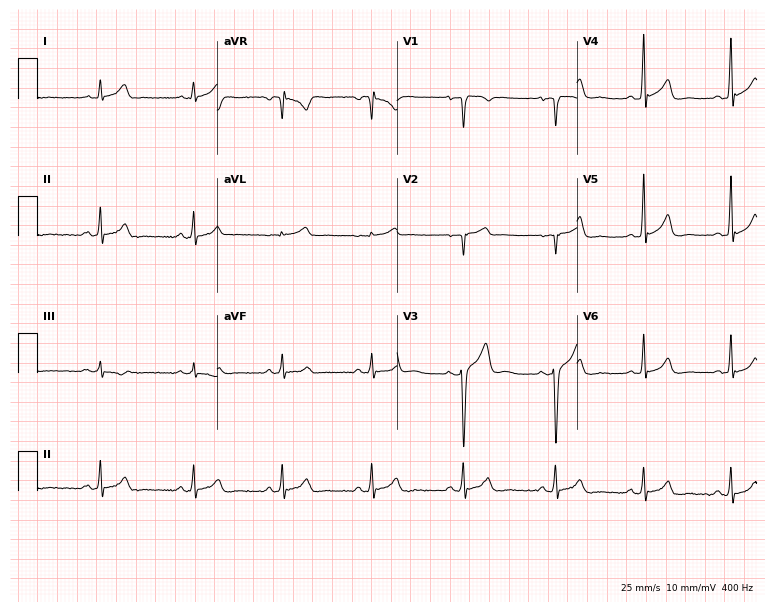
ECG (7.3-second recording at 400 Hz) — a 24-year-old male patient. Screened for six findings — first-degree AV block, right bundle branch block, left bundle branch block, sinus bradycardia, atrial fibrillation, sinus tachycardia — none is recorded.